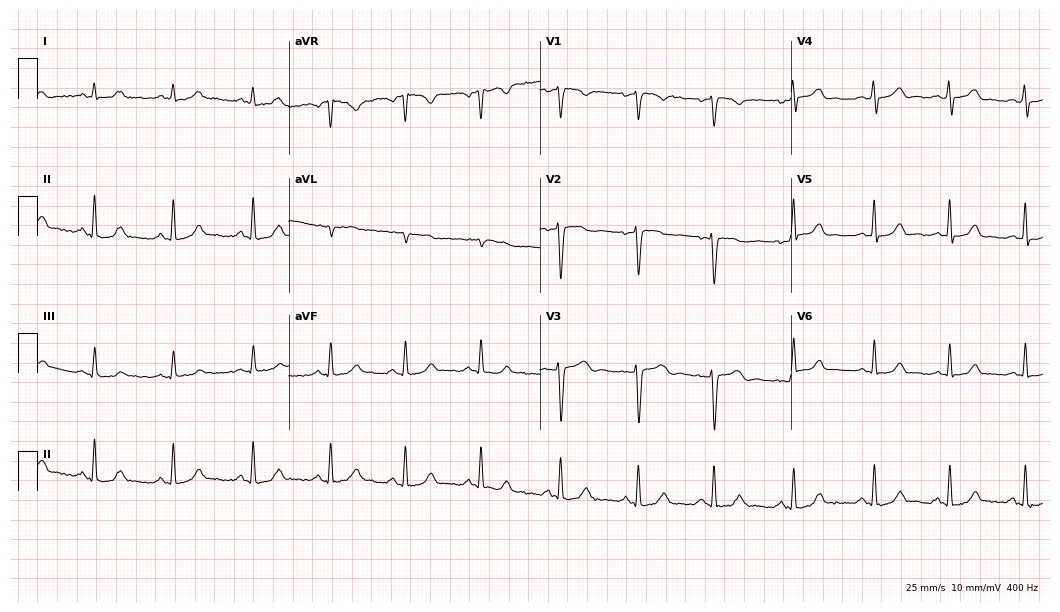
Resting 12-lead electrocardiogram (10.2-second recording at 400 Hz). Patient: a 28-year-old female. None of these six findings is recorded: first-degree AV block, right bundle branch block, left bundle branch block, sinus bradycardia, atrial fibrillation, sinus tachycardia.